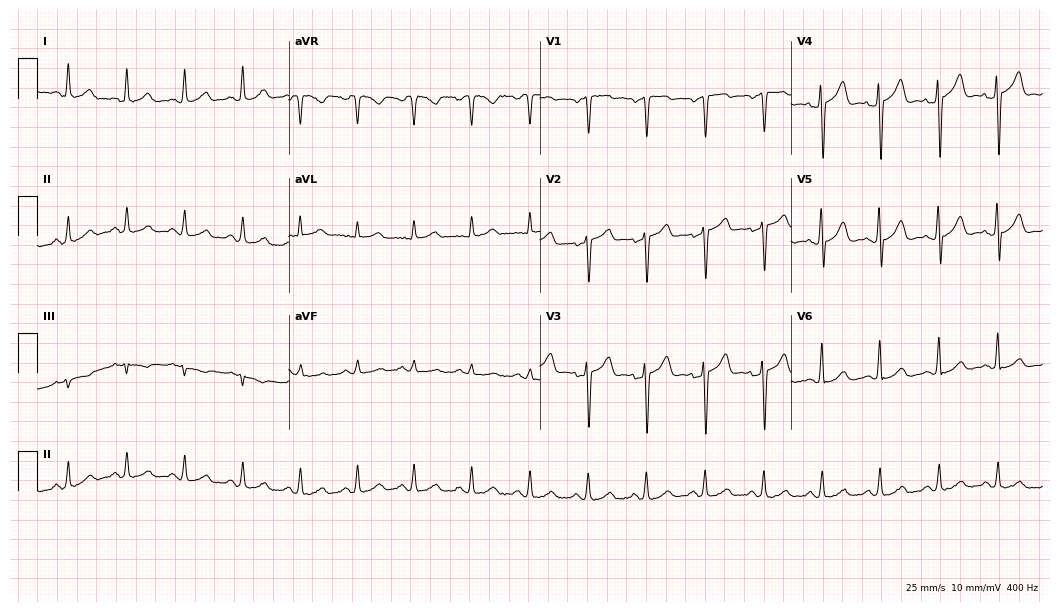
Standard 12-lead ECG recorded from a 57-year-old female patient (10.2-second recording at 400 Hz). The tracing shows sinus tachycardia (a sinus rate of 100 beats per minute or more).